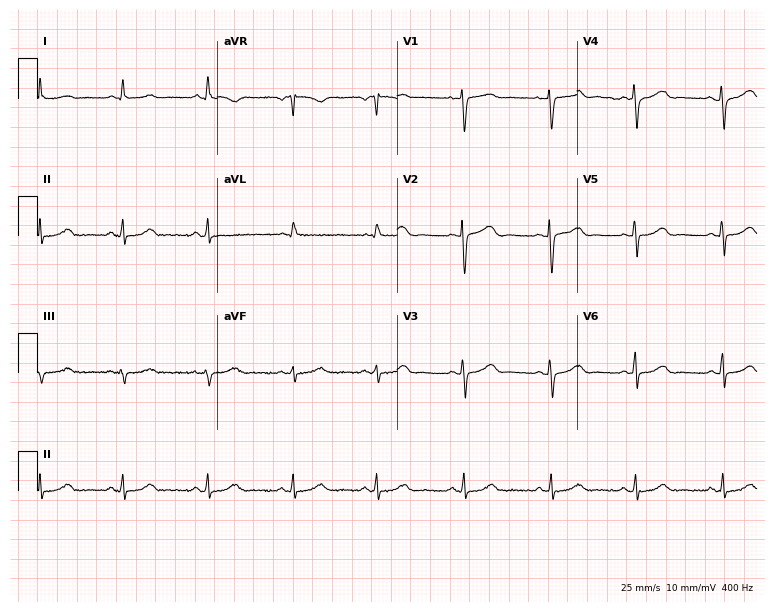
Standard 12-lead ECG recorded from a female patient, 44 years old (7.3-second recording at 400 Hz). None of these six findings is recorded: first-degree AV block, right bundle branch block (RBBB), left bundle branch block (LBBB), sinus bradycardia, atrial fibrillation (AF), sinus tachycardia. Findings outside these six are not listed.